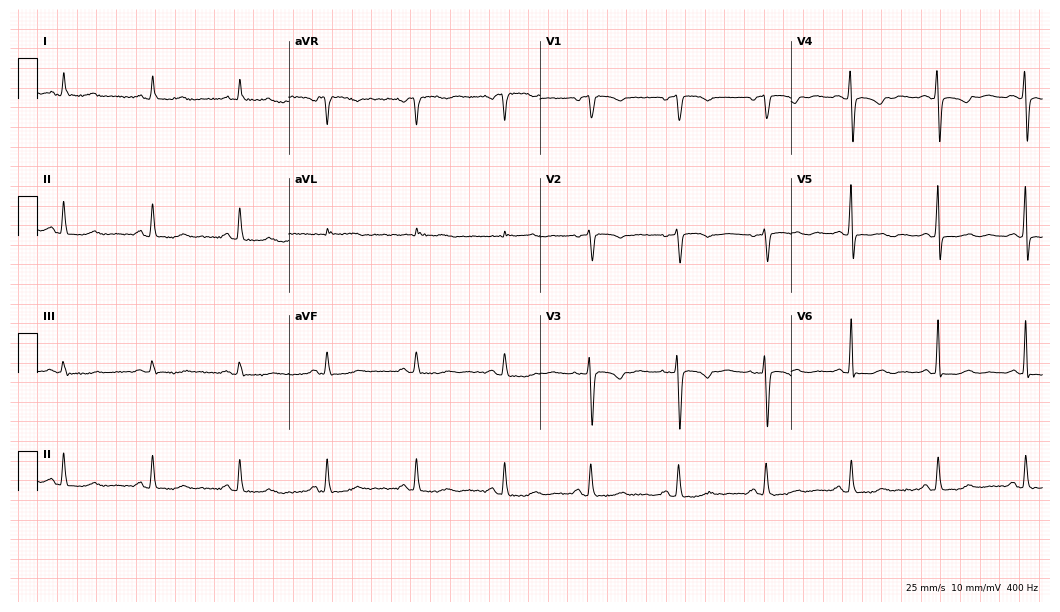
Electrocardiogram, a female patient, 59 years old. Of the six screened findings (first-degree AV block, right bundle branch block, left bundle branch block, sinus bradycardia, atrial fibrillation, sinus tachycardia), none is recorded. Other findings, if any, are not listed.